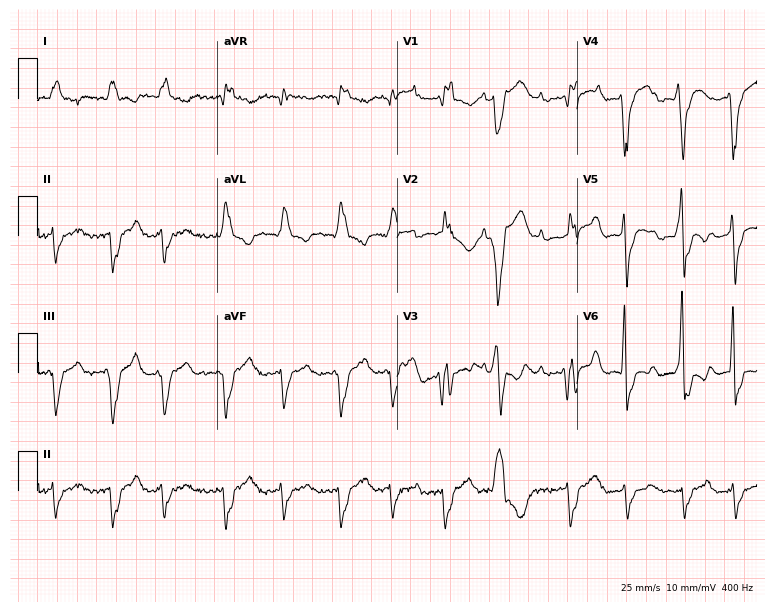
Resting 12-lead electrocardiogram. Patient: a man, 54 years old. The tracing shows right bundle branch block, left bundle branch block.